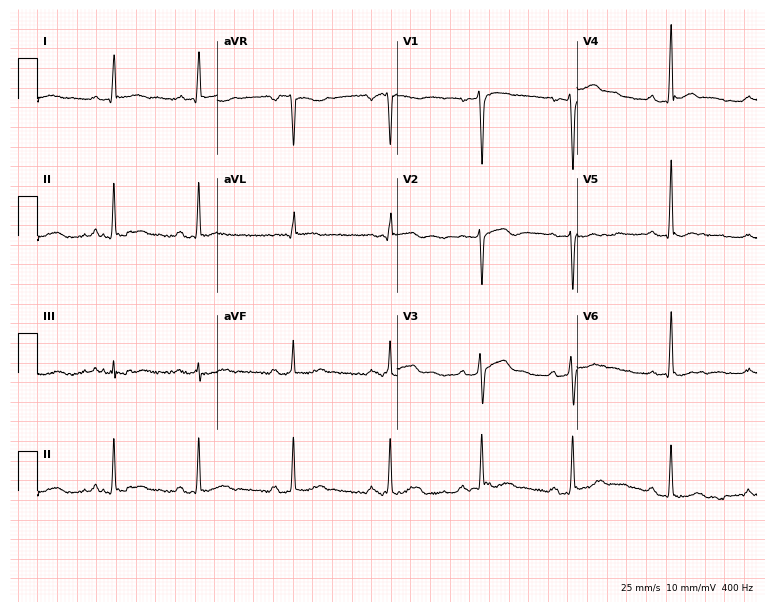
Resting 12-lead electrocardiogram. Patient: a male, 20 years old. None of these six findings is recorded: first-degree AV block, right bundle branch block, left bundle branch block, sinus bradycardia, atrial fibrillation, sinus tachycardia.